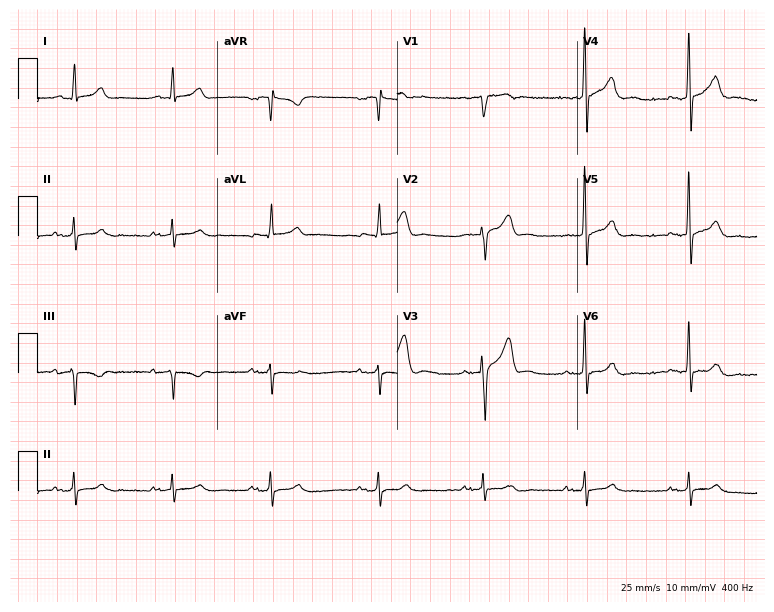
12-lead ECG (7.3-second recording at 400 Hz) from a man, 60 years old. Labelled as a normal ECG.